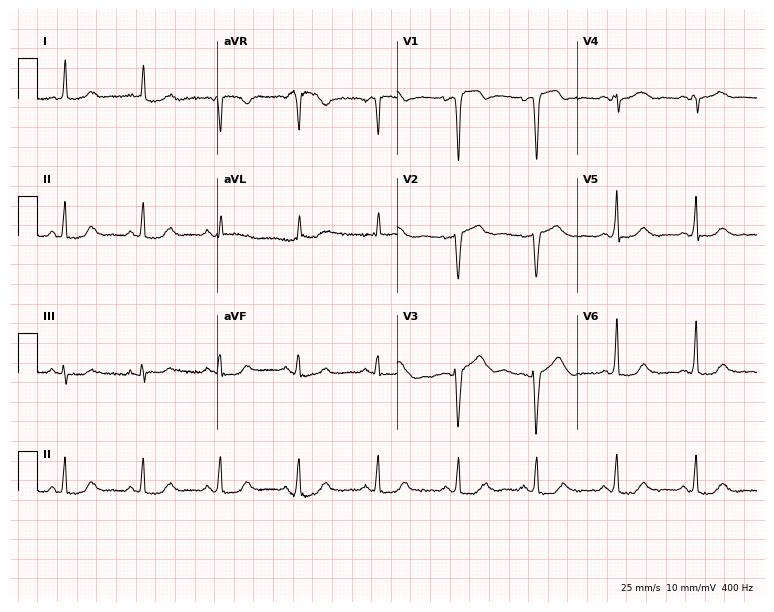
Resting 12-lead electrocardiogram (7.3-second recording at 400 Hz). Patient: a 56-year-old female. None of these six findings is recorded: first-degree AV block, right bundle branch block (RBBB), left bundle branch block (LBBB), sinus bradycardia, atrial fibrillation (AF), sinus tachycardia. Other findings, if any, are not listed.